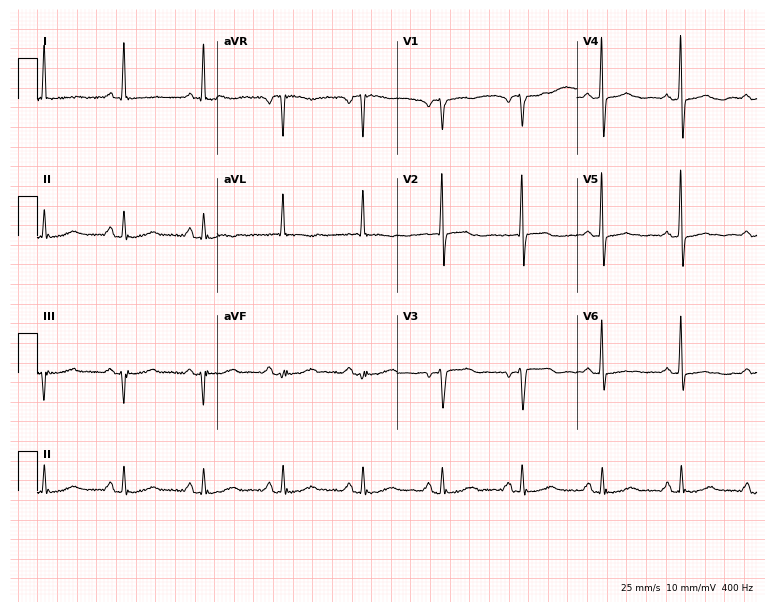
Standard 12-lead ECG recorded from a female, 82 years old. None of these six findings is recorded: first-degree AV block, right bundle branch block (RBBB), left bundle branch block (LBBB), sinus bradycardia, atrial fibrillation (AF), sinus tachycardia.